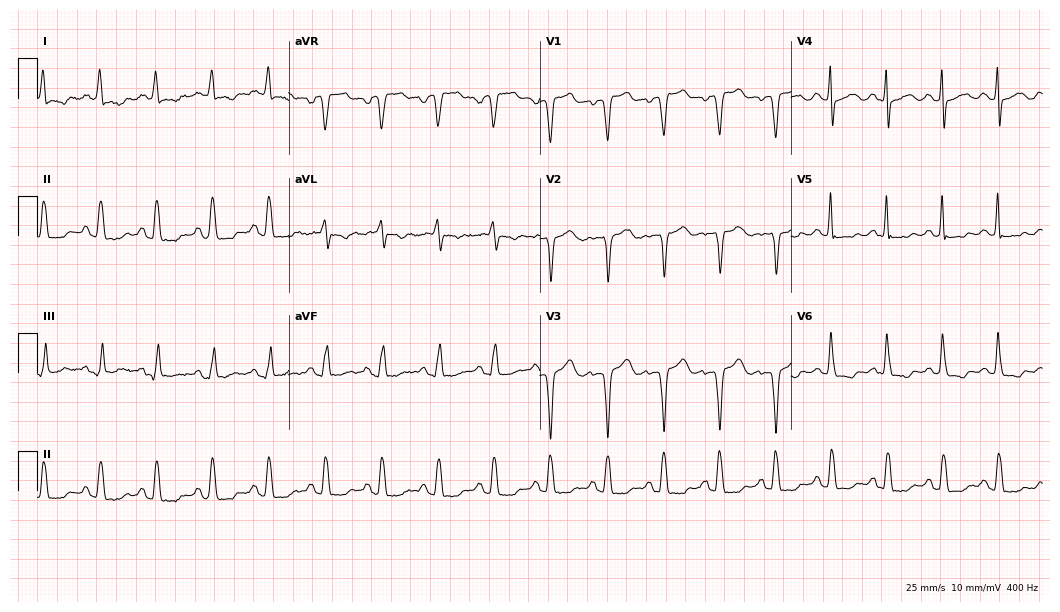
Standard 12-lead ECG recorded from a 69-year-old female. None of these six findings is recorded: first-degree AV block, right bundle branch block (RBBB), left bundle branch block (LBBB), sinus bradycardia, atrial fibrillation (AF), sinus tachycardia.